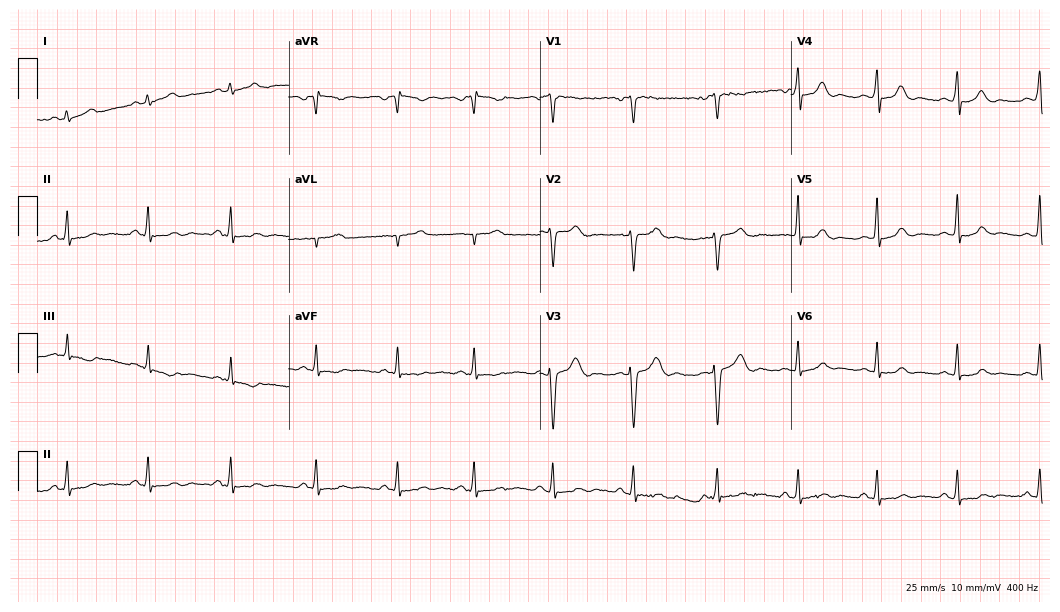
Resting 12-lead electrocardiogram (10.2-second recording at 400 Hz). Patient: a 25-year-old female. None of these six findings is recorded: first-degree AV block, right bundle branch block, left bundle branch block, sinus bradycardia, atrial fibrillation, sinus tachycardia.